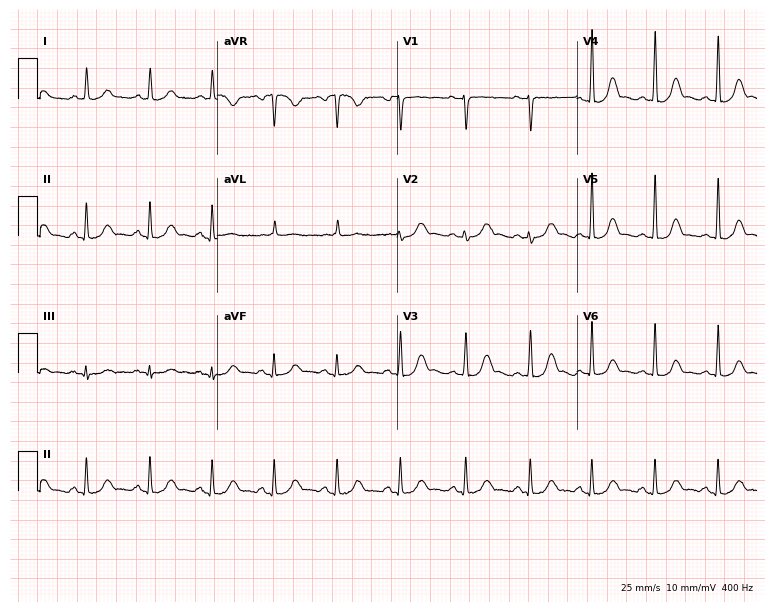
ECG — a woman, 35 years old. Labelled as a normal ECG.